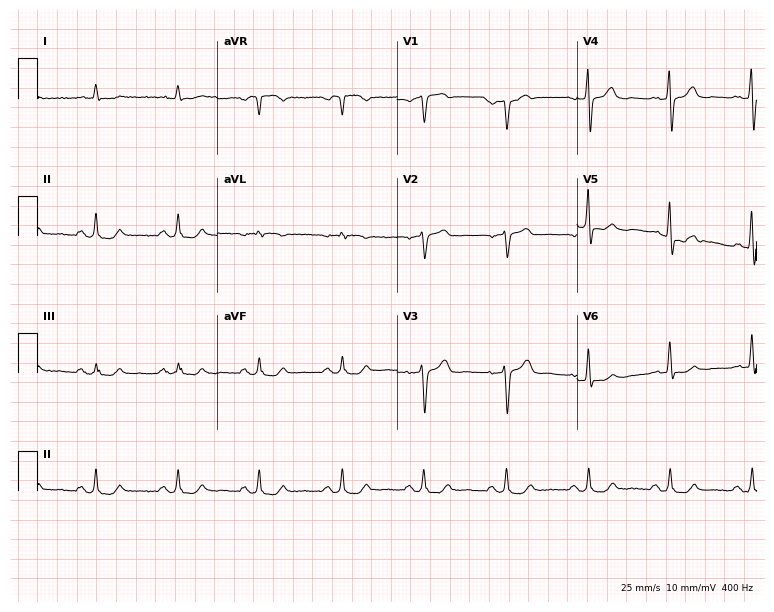
Electrocardiogram (7.3-second recording at 400 Hz), an 80-year-old male. Of the six screened findings (first-degree AV block, right bundle branch block (RBBB), left bundle branch block (LBBB), sinus bradycardia, atrial fibrillation (AF), sinus tachycardia), none is recorded.